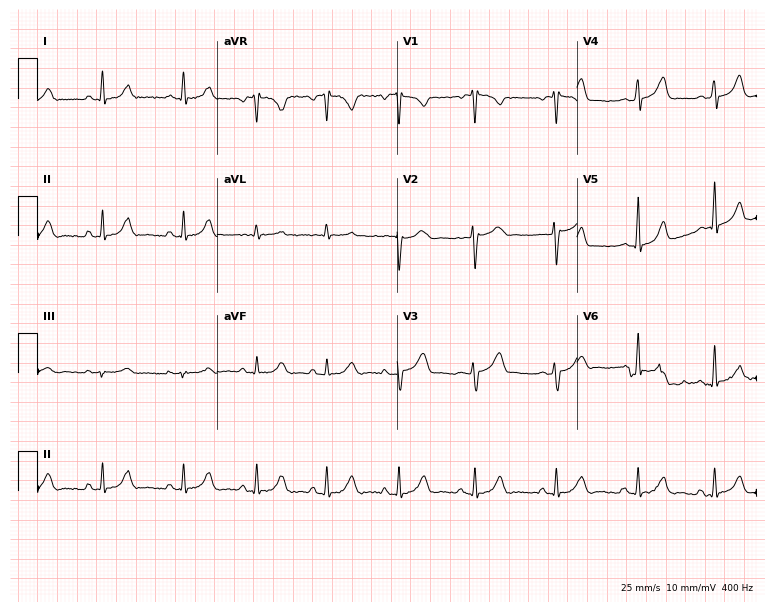
Standard 12-lead ECG recorded from a female patient, 41 years old (7.3-second recording at 400 Hz). None of these six findings is recorded: first-degree AV block, right bundle branch block, left bundle branch block, sinus bradycardia, atrial fibrillation, sinus tachycardia.